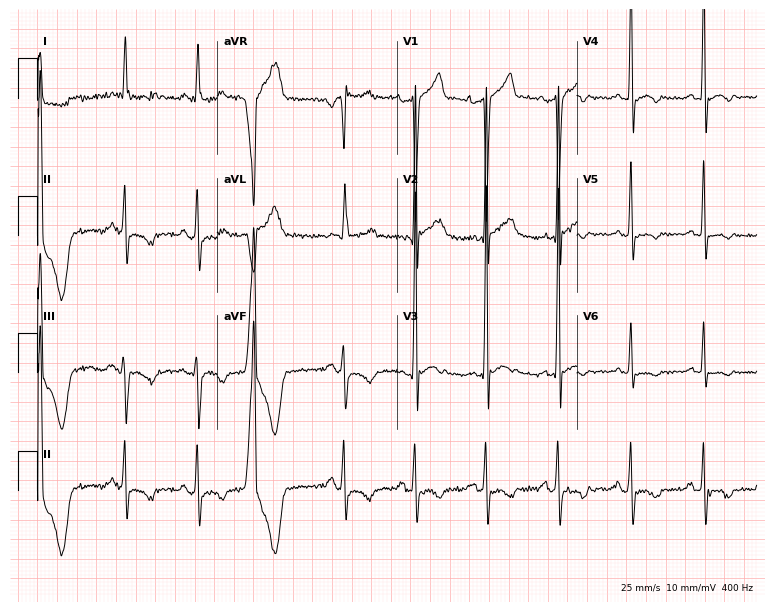
Resting 12-lead electrocardiogram. Patient: a 79-year-old male. None of these six findings is recorded: first-degree AV block, right bundle branch block, left bundle branch block, sinus bradycardia, atrial fibrillation, sinus tachycardia. Other findings, if any, are not listed.